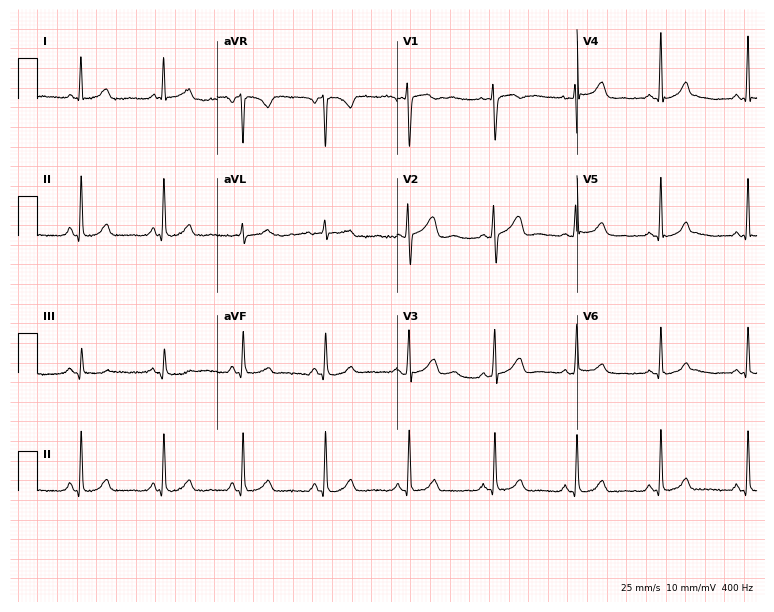
Standard 12-lead ECG recorded from a 42-year-old female. Read as a normal ECG.